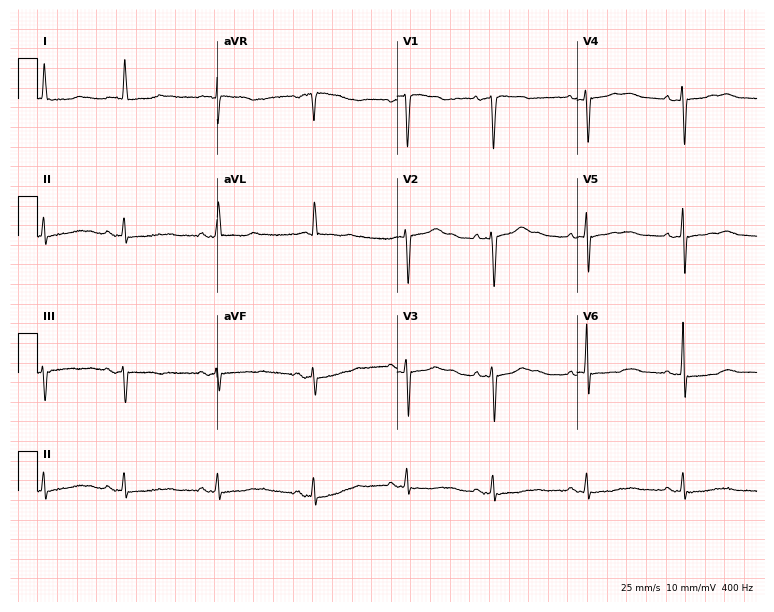
ECG — a female patient, 78 years old. Screened for six findings — first-degree AV block, right bundle branch block (RBBB), left bundle branch block (LBBB), sinus bradycardia, atrial fibrillation (AF), sinus tachycardia — none is recorded.